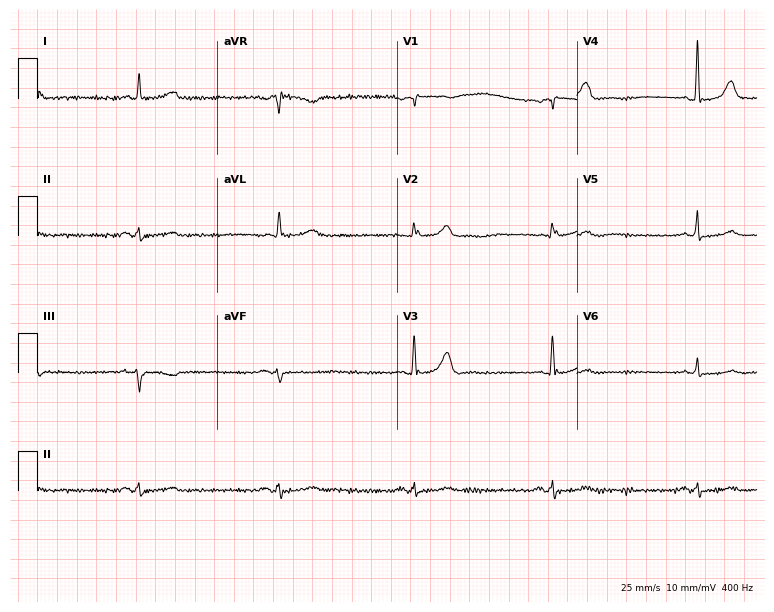
Electrocardiogram, a 77-year-old male patient. Interpretation includes sinus bradycardia (a sinus rate of 50 beats per minute or less).